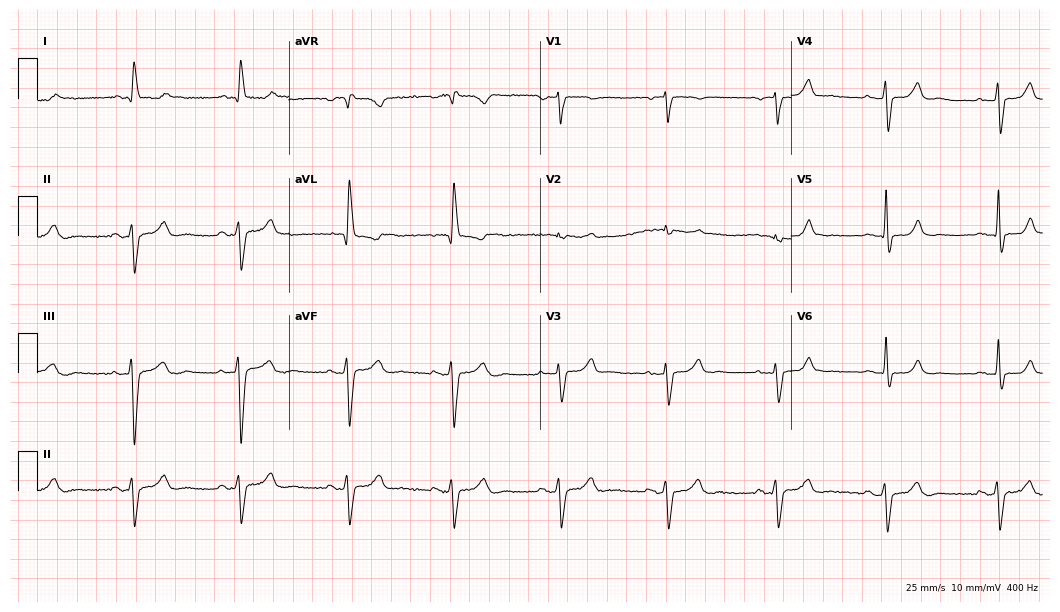
ECG (10.2-second recording at 400 Hz) — a woman, 80 years old. Screened for six findings — first-degree AV block, right bundle branch block, left bundle branch block, sinus bradycardia, atrial fibrillation, sinus tachycardia — none is recorded.